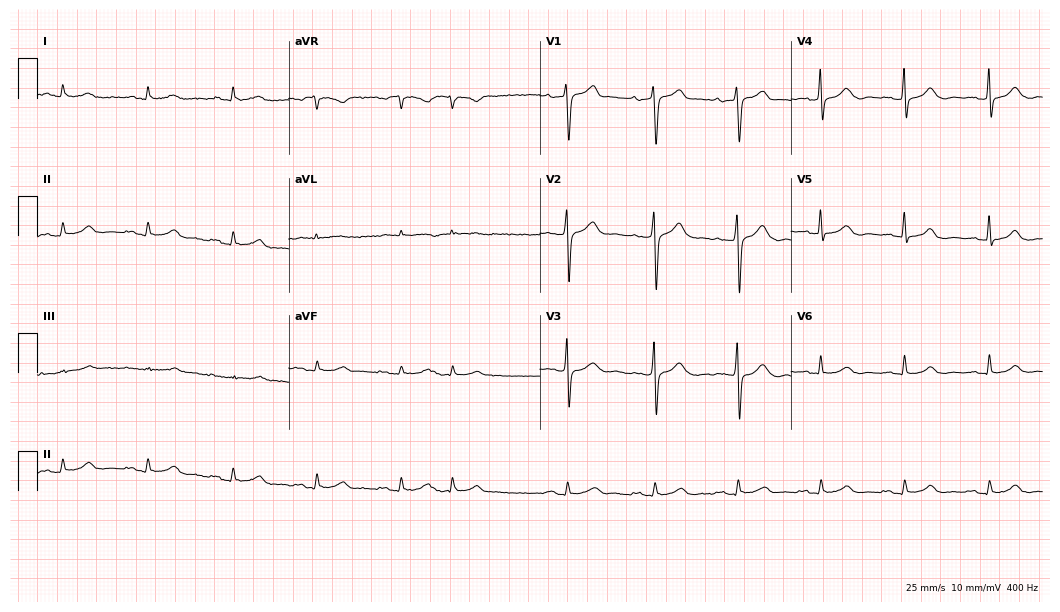
Resting 12-lead electrocardiogram (10.2-second recording at 400 Hz). Patient: a 77-year-old male. None of these six findings is recorded: first-degree AV block, right bundle branch block (RBBB), left bundle branch block (LBBB), sinus bradycardia, atrial fibrillation (AF), sinus tachycardia. Only these six findings were labelled.